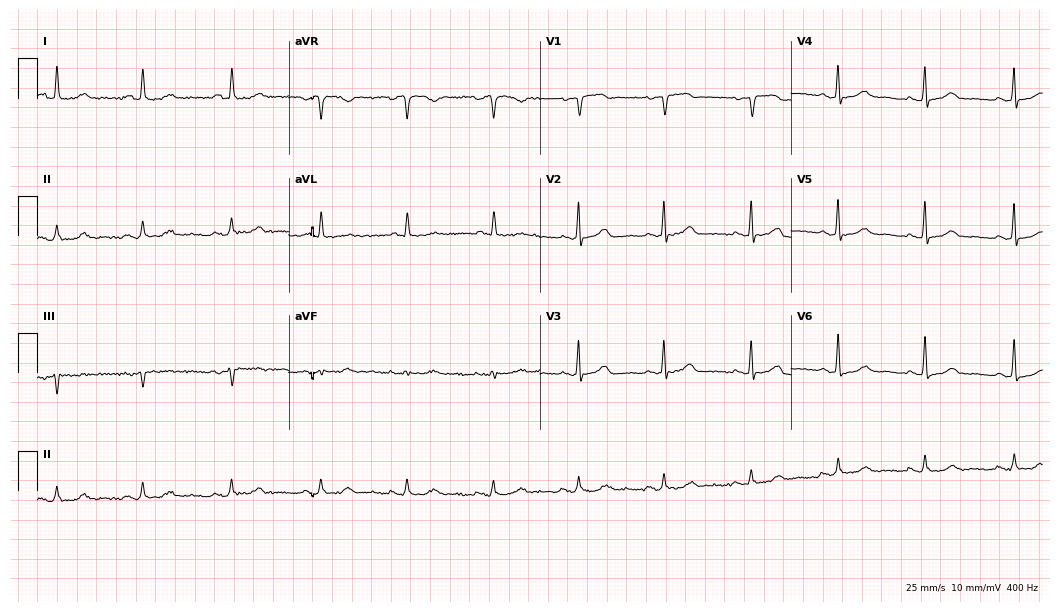
Electrocardiogram (10.2-second recording at 400 Hz), a 78-year-old female patient. Overall reading on record: normal ECG.